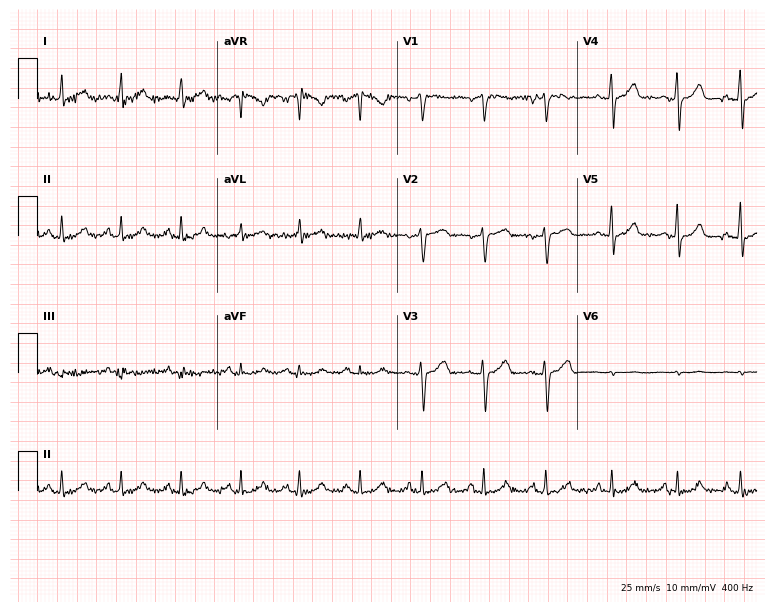
Electrocardiogram (7.3-second recording at 400 Hz), a female patient, 49 years old. Of the six screened findings (first-degree AV block, right bundle branch block (RBBB), left bundle branch block (LBBB), sinus bradycardia, atrial fibrillation (AF), sinus tachycardia), none is recorded. Other findings, if any, are not listed.